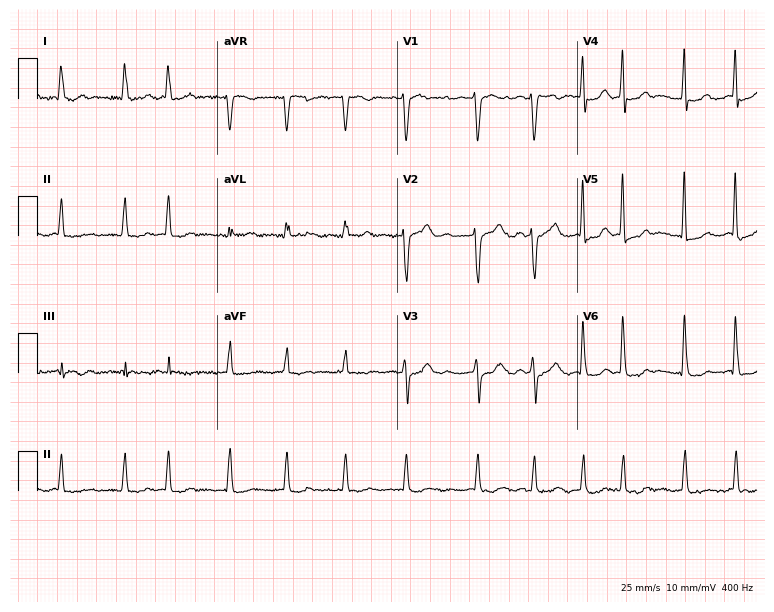
Standard 12-lead ECG recorded from a 70-year-old woman. The tracing shows atrial fibrillation.